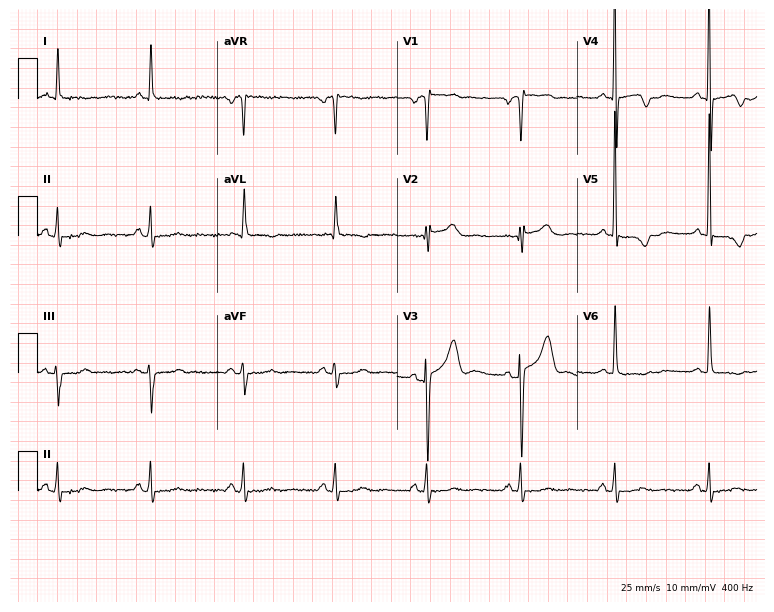
Resting 12-lead electrocardiogram. Patient: an 86-year-old male. None of these six findings is recorded: first-degree AV block, right bundle branch block, left bundle branch block, sinus bradycardia, atrial fibrillation, sinus tachycardia.